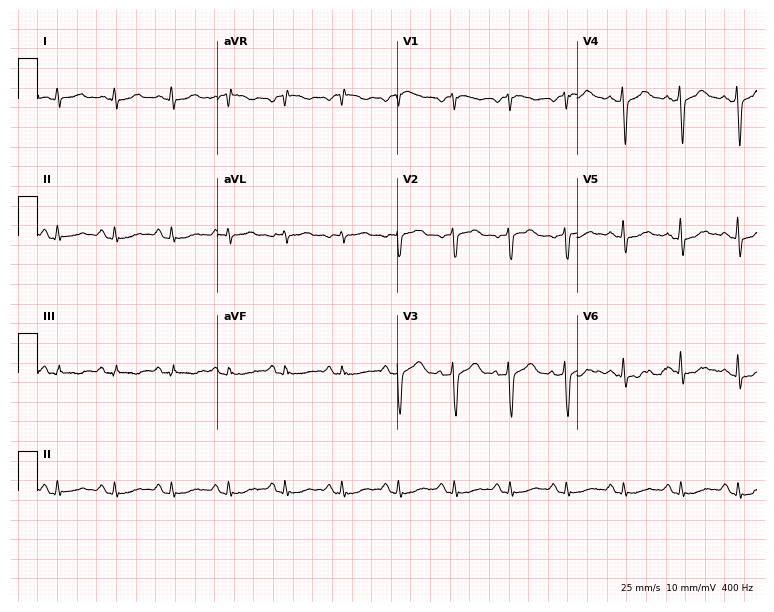
12-lead ECG from a 73-year-old male patient. Findings include sinus tachycardia (a sinus rate of 100 beats per minute or more).